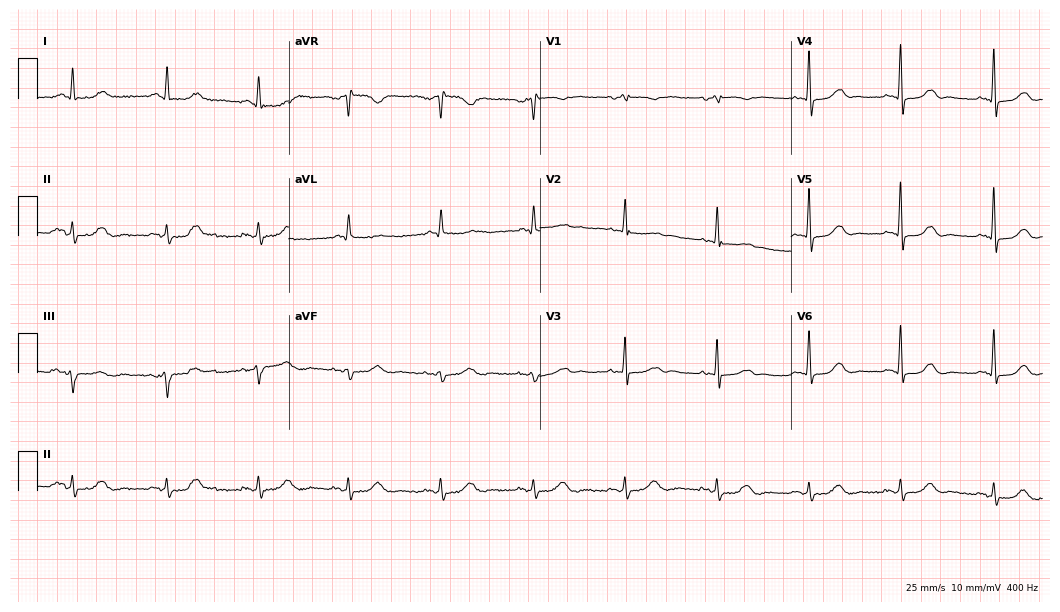
12-lead ECG (10.2-second recording at 400 Hz) from a female patient, 78 years old. Labelled as a normal ECG.